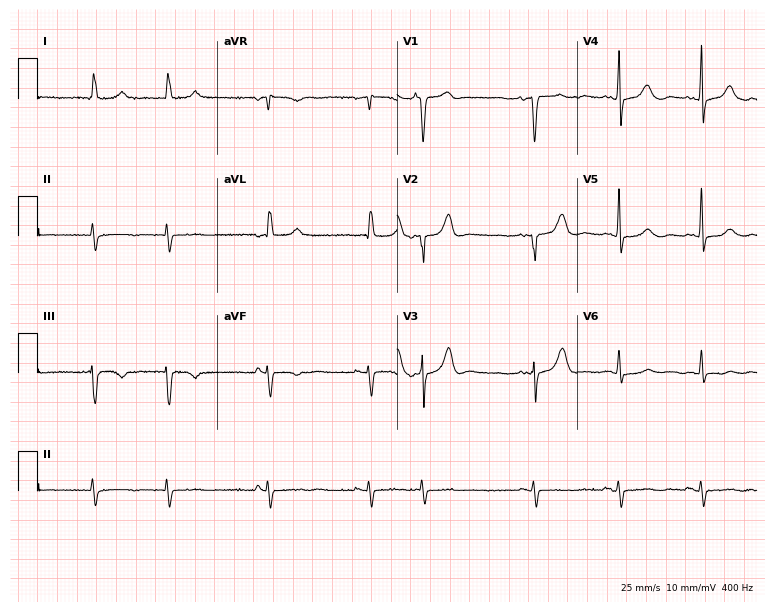
Electrocardiogram (7.3-second recording at 400 Hz), an 85-year-old female. Of the six screened findings (first-degree AV block, right bundle branch block, left bundle branch block, sinus bradycardia, atrial fibrillation, sinus tachycardia), none is recorded.